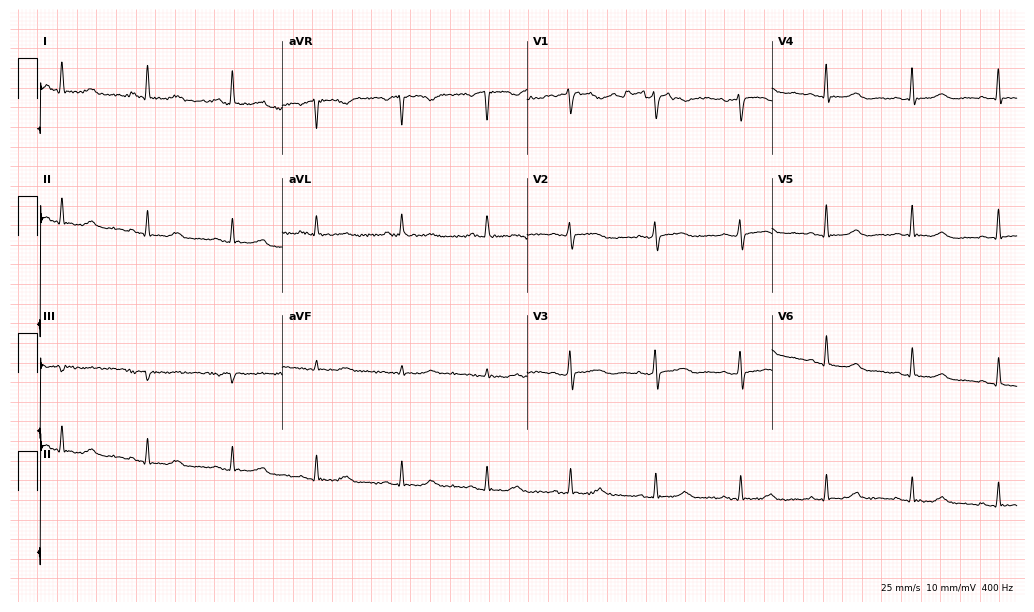
Resting 12-lead electrocardiogram (10-second recording at 400 Hz). Patient: a 73-year-old female. Read as a normal ECG.